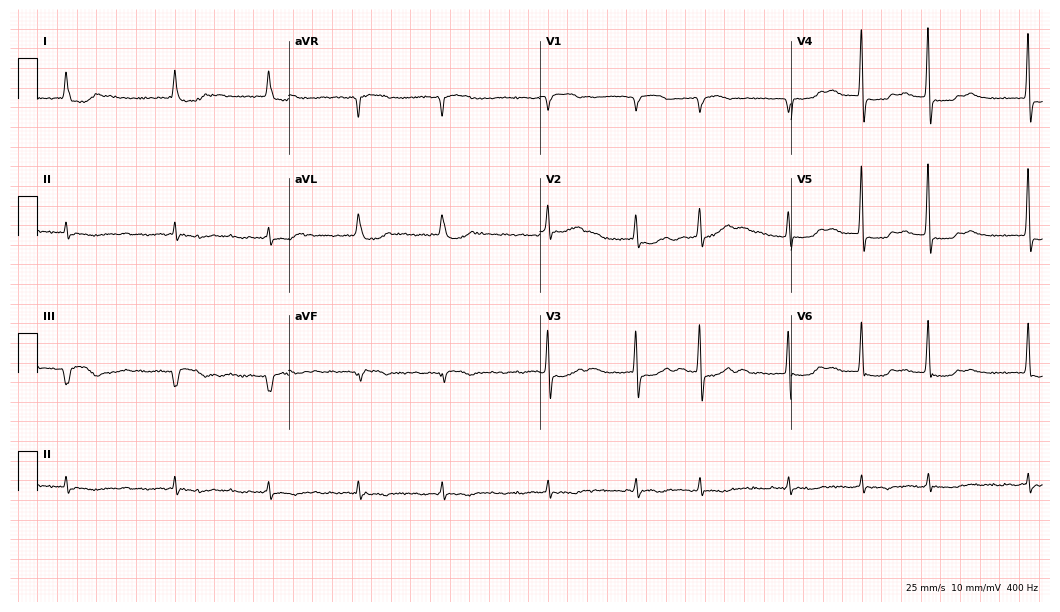
ECG — a female patient, 78 years old. Findings include atrial fibrillation (AF).